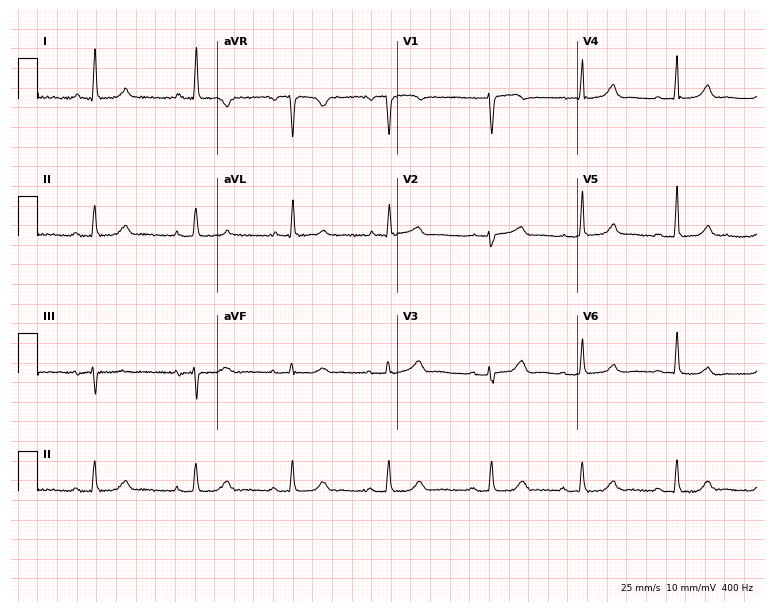
12-lead ECG from a 76-year-old female patient. No first-degree AV block, right bundle branch block, left bundle branch block, sinus bradycardia, atrial fibrillation or sinus tachycardia recorded for this tracing.